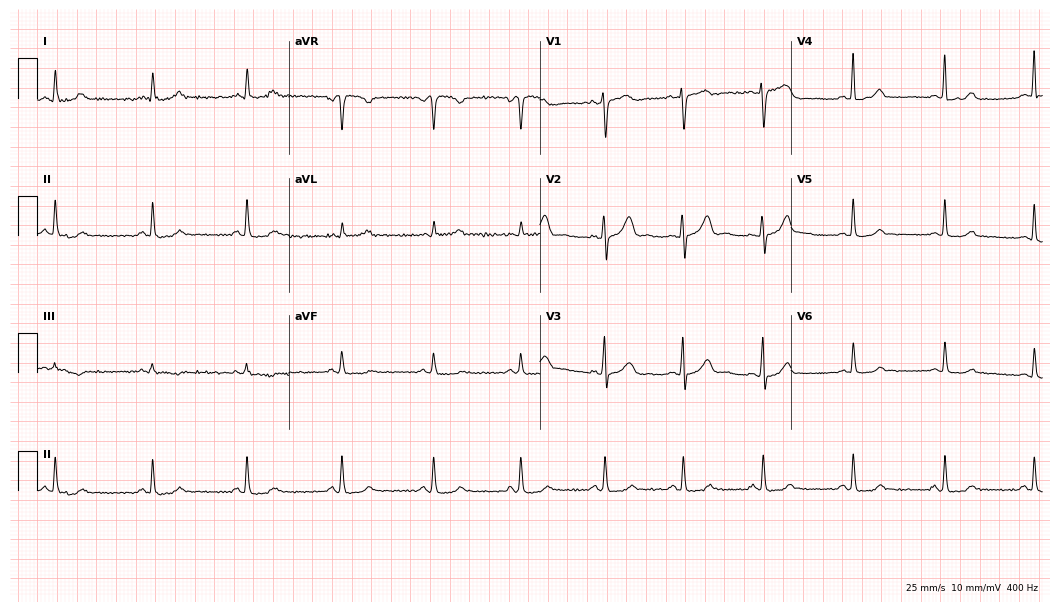
12-lead ECG from a woman, 42 years old. Screened for six findings — first-degree AV block, right bundle branch block, left bundle branch block, sinus bradycardia, atrial fibrillation, sinus tachycardia — none is recorded. Other findings, if any, are not listed.